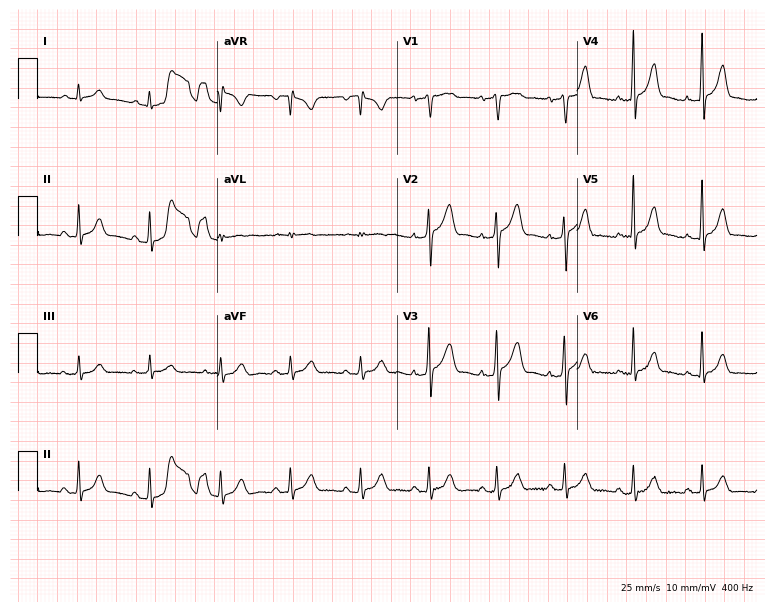
12-lead ECG from a male, 56 years old. Recorded interpretation: within normal limits.